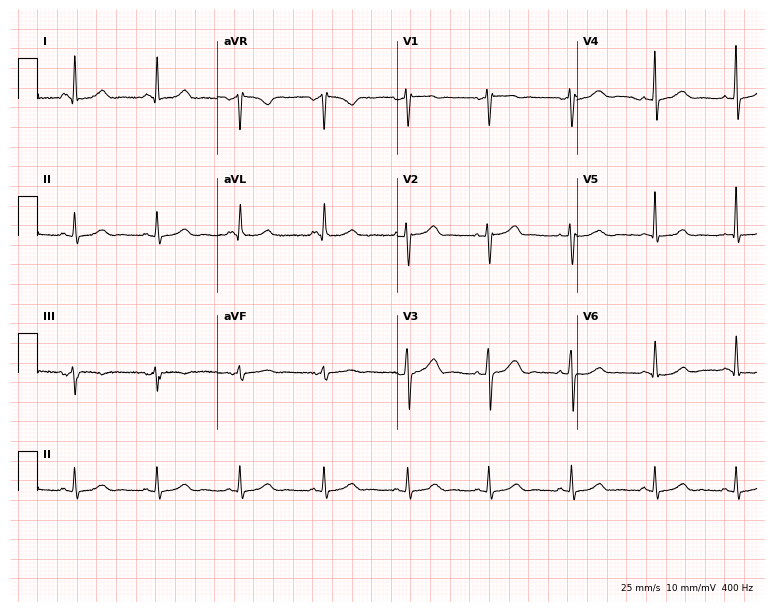
12-lead ECG from a 48-year-old female patient (7.3-second recording at 400 Hz). No first-degree AV block, right bundle branch block (RBBB), left bundle branch block (LBBB), sinus bradycardia, atrial fibrillation (AF) or sinus tachycardia recorded for this tracing.